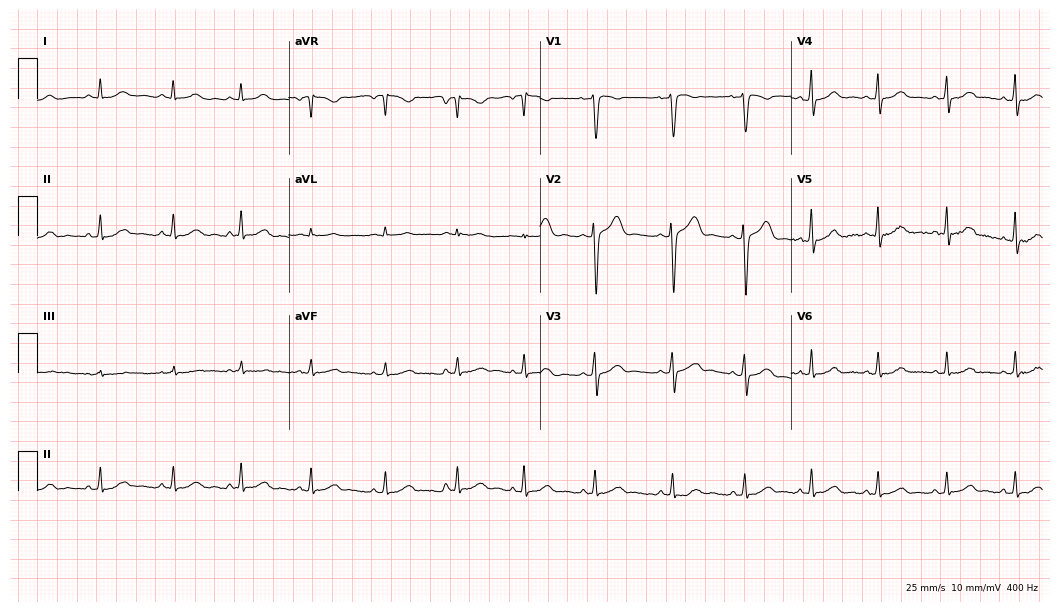
Electrocardiogram, a female patient, 18 years old. Overall reading on record: normal ECG.